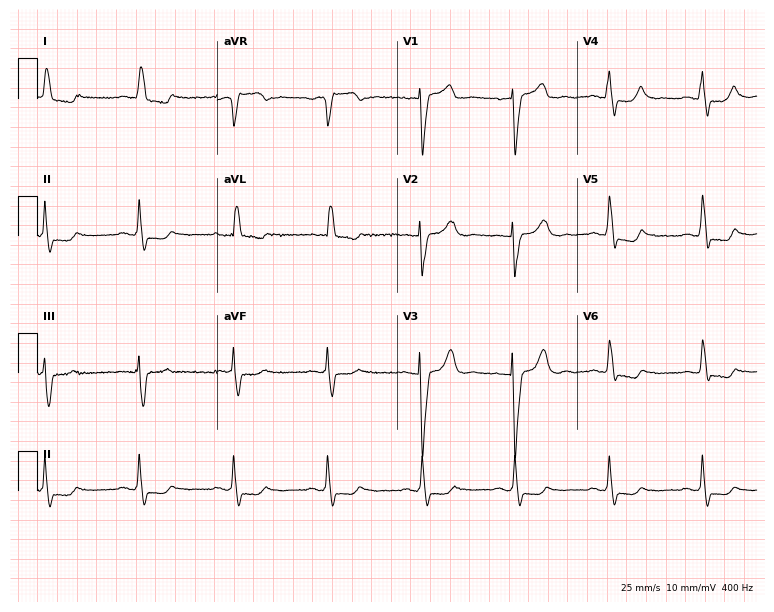
Standard 12-lead ECG recorded from a male patient, 82 years old (7.3-second recording at 400 Hz). The tracing shows left bundle branch block (LBBB).